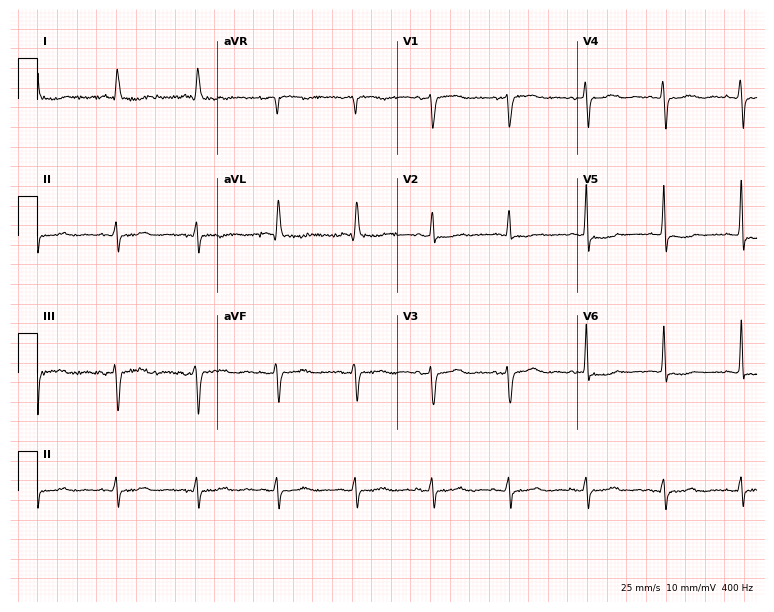
ECG — a woman, 68 years old. Screened for six findings — first-degree AV block, right bundle branch block (RBBB), left bundle branch block (LBBB), sinus bradycardia, atrial fibrillation (AF), sinus tachycardia — none is recorded.